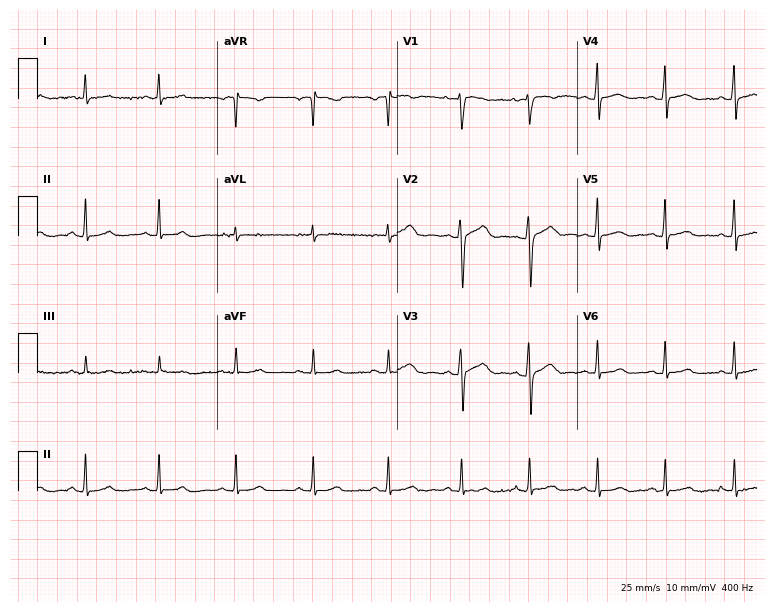
Resting 12-lead electrocardiogram. Patient: a 32-year-old woman. None of these six findings is recorded: first-degree AV block, right bundle branch block, left bundle branch block, sinus bradycardia, atrial fibrillation, sinus tachycardia.